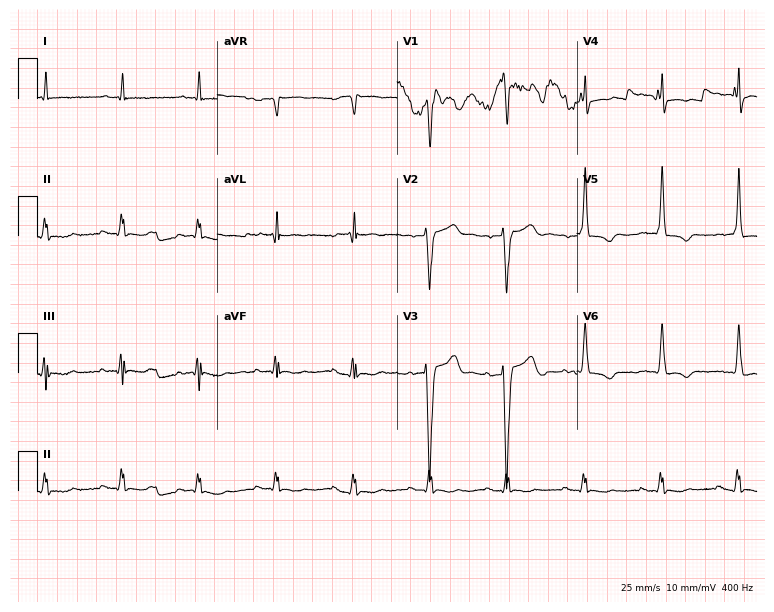
12-lead ECG (7.3-second recording at 400 Hz) from a 78-year-old male patient. Screened for six findings — first-degree AV block, right bundle branch block, left bundle branch block, sinus bradycardia, atrial fibrillation, sinus tachycardia — none is recorded. Findings outside these six are not listed.